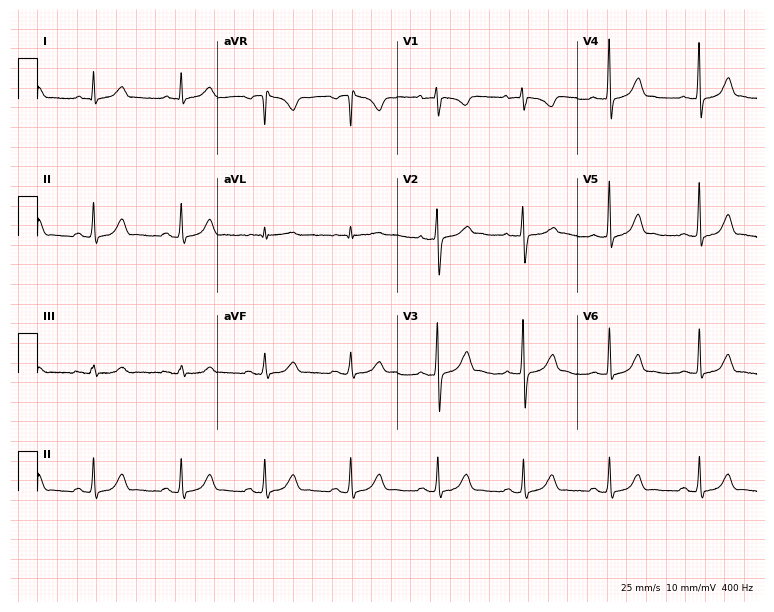
Standard 12-lead ECG recorded from a 34-year-old female (7.3-second recording at 400 Hz). Read as a normal ECG.